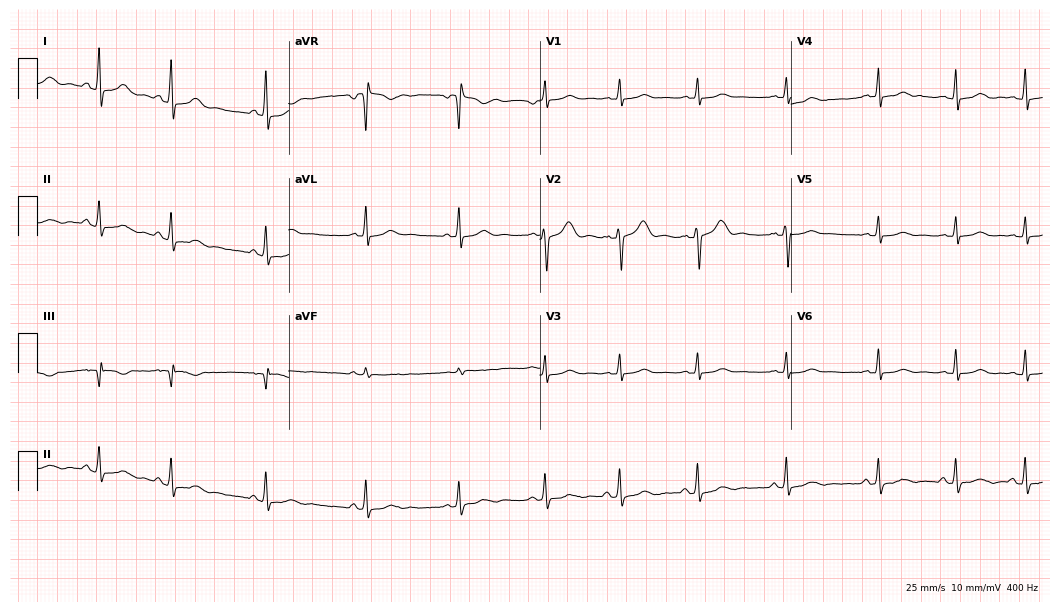
Electrocardiogram (10.2-second recording at 400 Hz), a female patient, 19 years old. Overall reading on record: normal ECG.